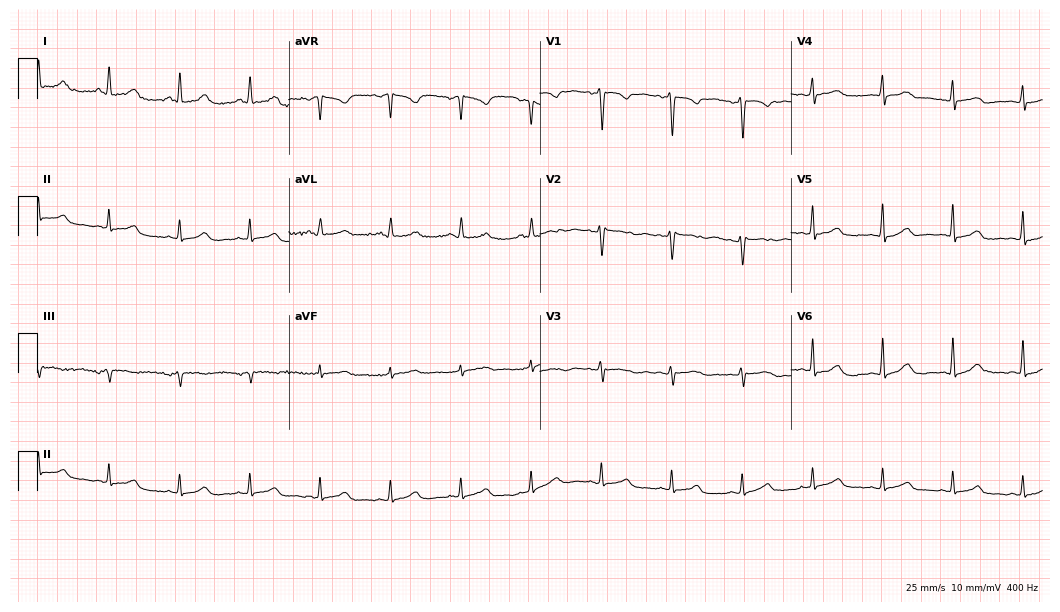
12-lead ECG from a female, 40 years old. Recorded interpretation: within normal limits.